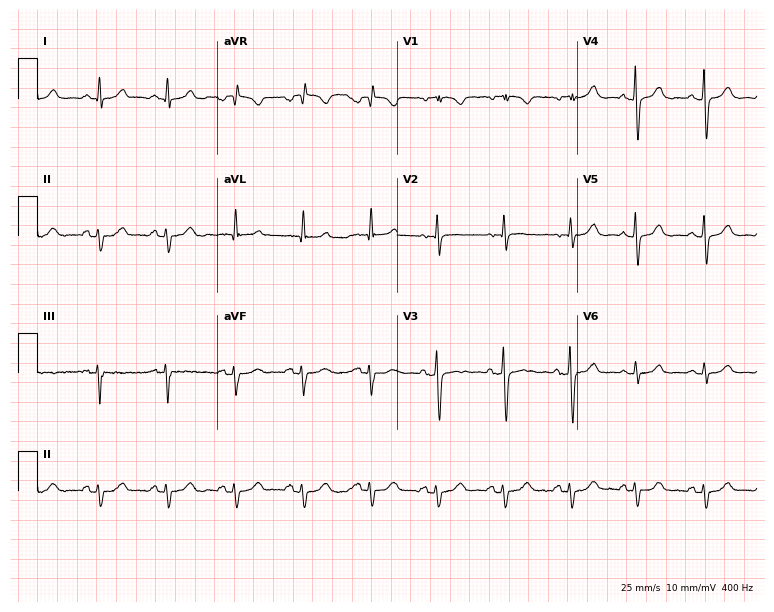
Electrocardiogram, a female, 63 years old. Of the six screened findings (first-degree AV block, right bundle branch block, left bundle branch block, sinus bradycardia, atrial fibrillation, sinus tachycardia), none is recorded. Only these six findings were labelled.